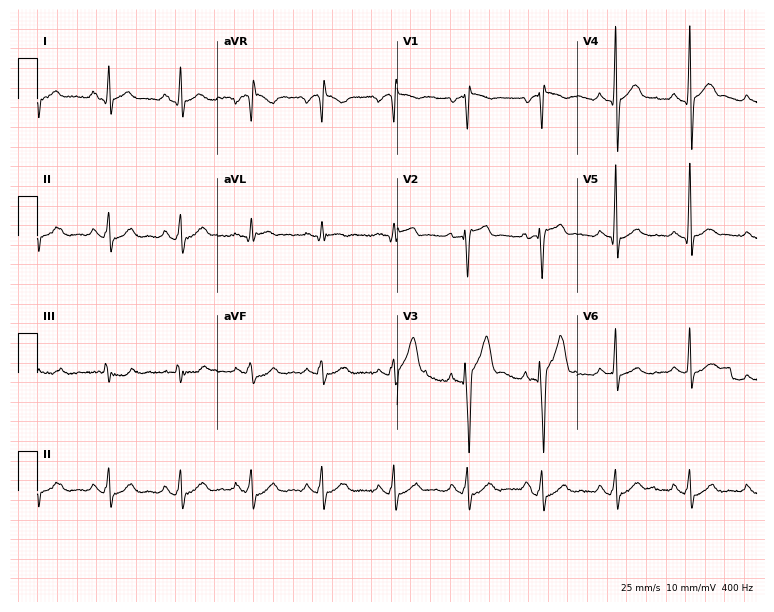
ECG (7.3-second recording at 400 Hz) — a male patient, 23 years old. Screened for six findings — first-degree AV block, right bundle branch block, left bundle branch block, sinus bradycardia, atrial fibrillation, sinus tachycardia — none is recorded. Findings outside these six are not listed.